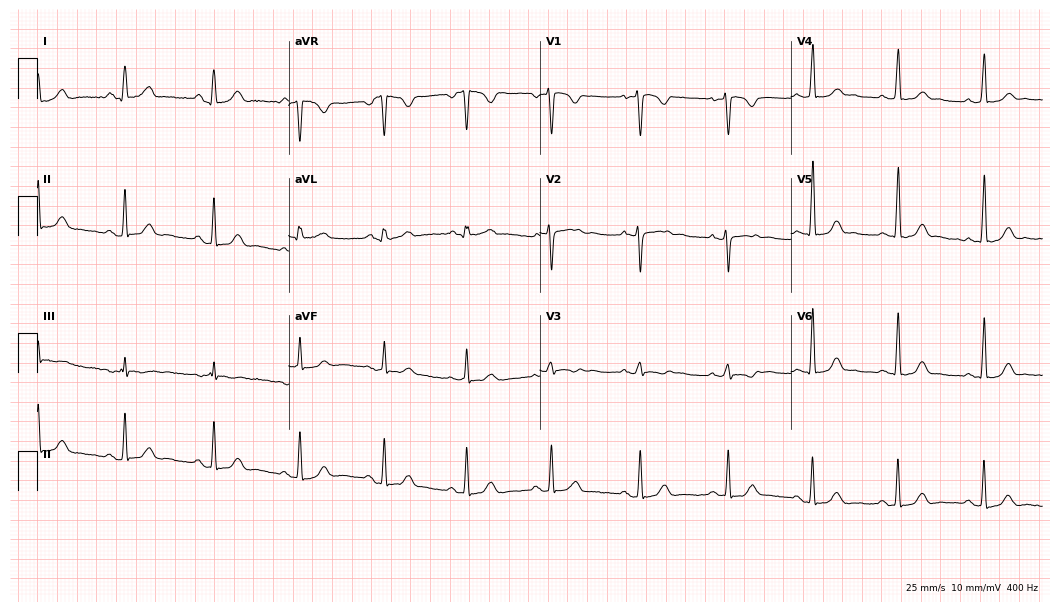
Resting 12-lead electrocardiogram. Patient: a woman, 35 years old. None of these six findings is recorded: first-degree AV block, right bundle branch block, left bundle branch block, sinus bradycardia, atrial fibrillation, sinus tachycardia. Findings outside these six are not listed.